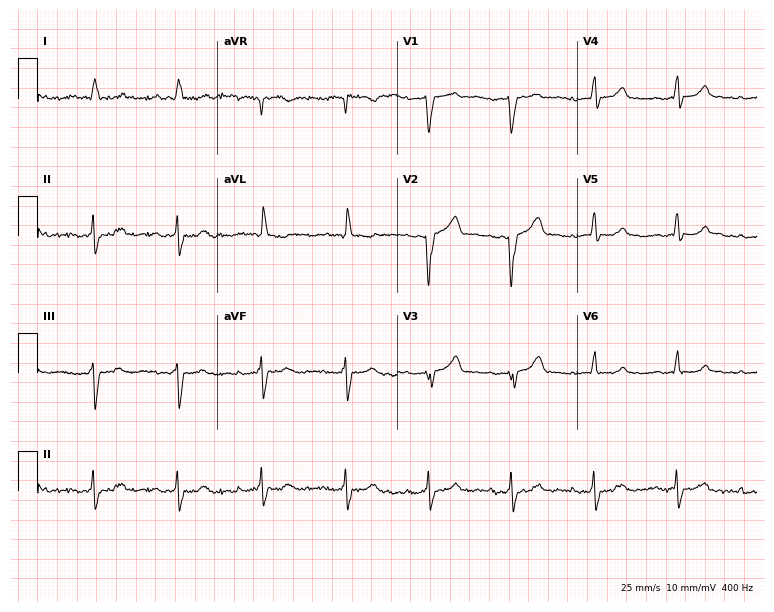
12-lead ECG (7.3-second recording at 400 Hz) from a 40-year-old woman. Screened for six findings — first-degree AV block, right bundle branch block, left bundle branch block, sinus bradycardia, atrial fibrillation, sinus tachycardia — none is recorded.